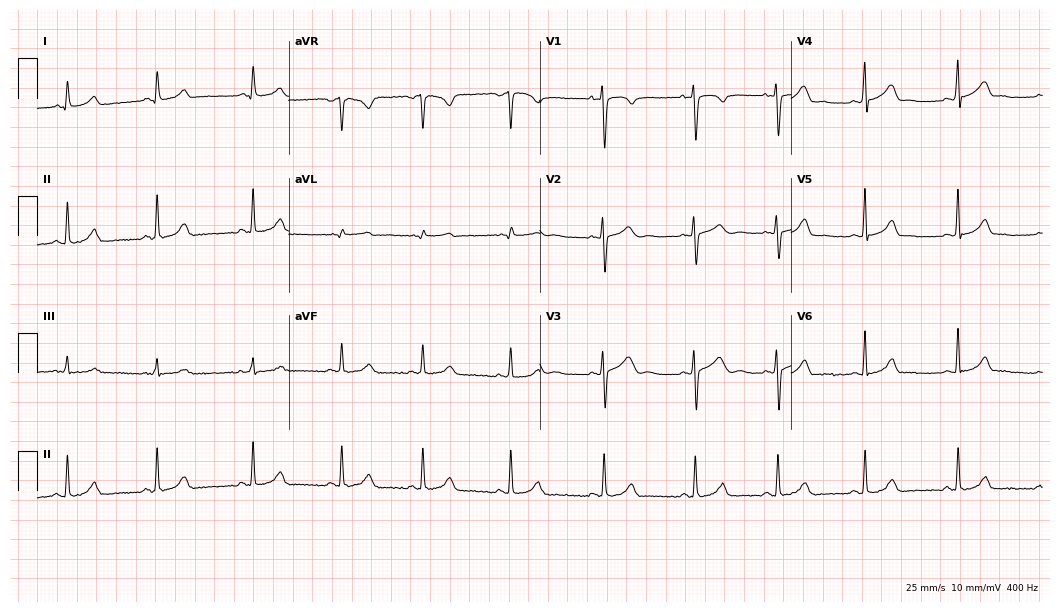
Resting 12-lead electrocardiogram. Patient: a 21-year-old female. Read as a normal ECG.